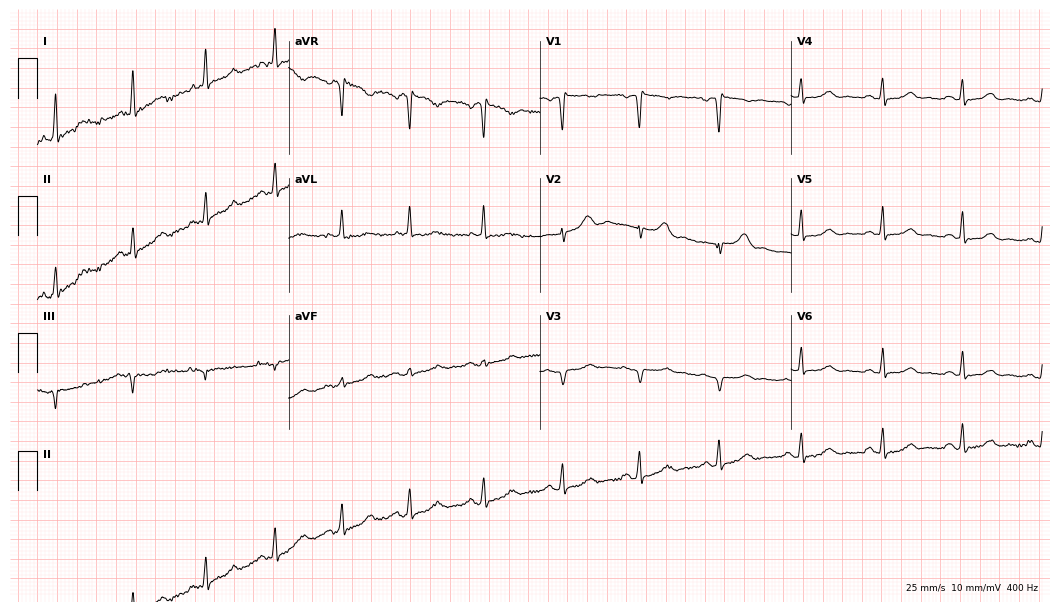
Electrocardiogram, a female, 56 years old. Of the six screened findings (first-degree AV block, right bundle branch block, left bundle branch block, sinus bradycardia, atrial fibrillation, sinus tachycardia), none is recorded.